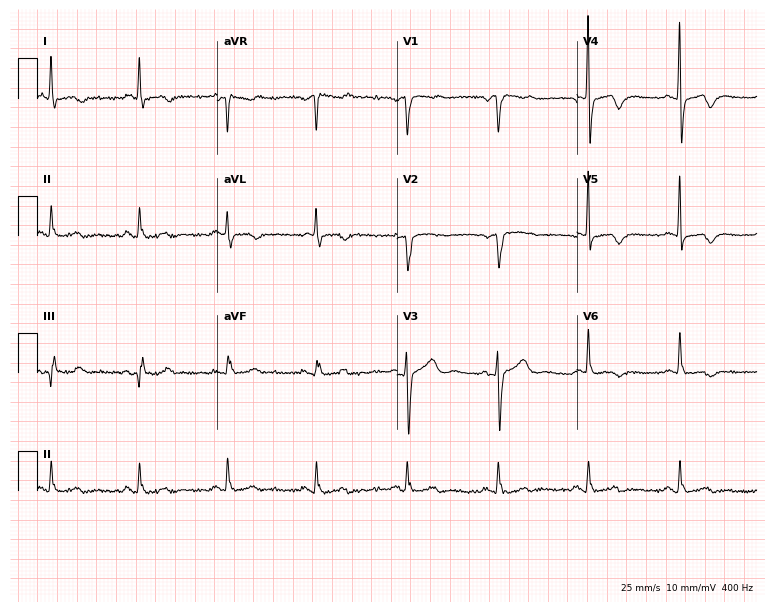
12-lead ECG from a 76-year-old woman. Screened for six findings — first-degree AV block, right bundle branch block (RBBB), left bundle branch block (LBBB), sinus bradycardia, atrial fibrillation (AF), sinus tachycardia — none is recorded. Other findings, if any, are not listed.